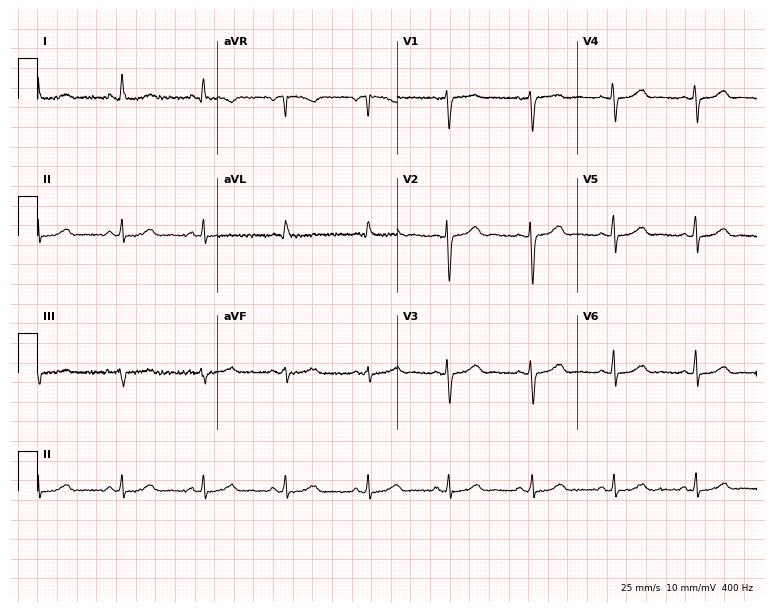
Resting 12-lead electrocardiogram (7.3-second recording at 400 Hz). Patient: a female, 44 years old. None of these six findings is recorded: first-degree AV block, right bundle branch block, left bundle branch block, sinus bradycardia, atrial fibrillation, sinus tachycardia. Only these six findings were labelled.